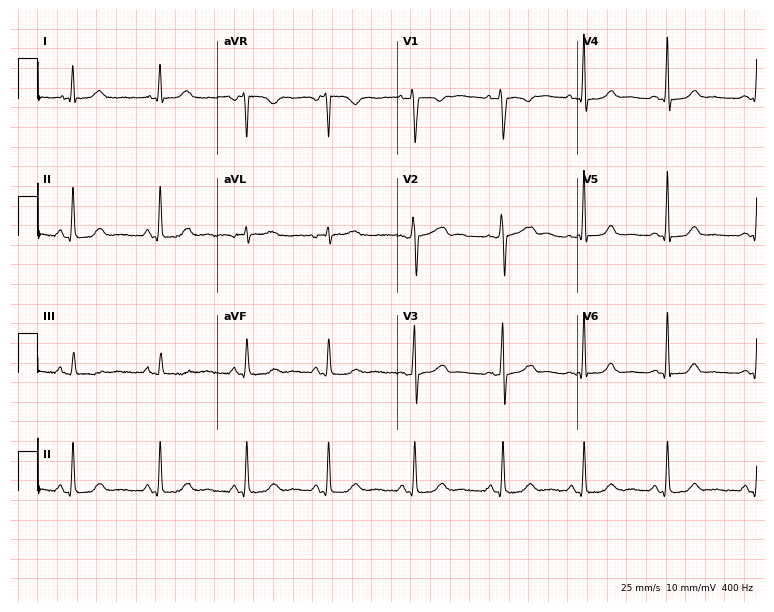
Electrocardiogram, a 26-year-old female. Of the six screened findings (first-degree AV block, right bundle branch block (RBBB), left bundle branch block (LBBB), sinus bradycardia, atrial fibrillation (AF), sinus tachycardia), none is recorded. Only these six findings were labelled.